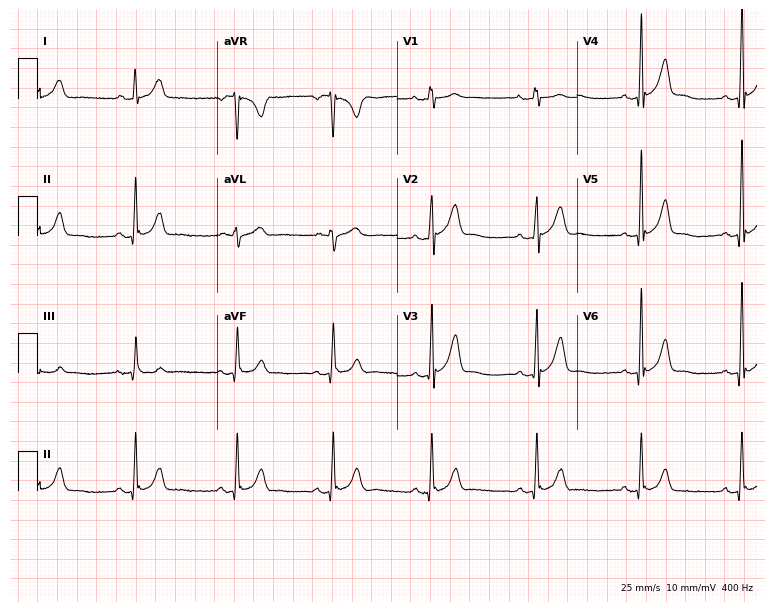
ECG (7.3-second recording at 400 Hz) — a 27-year-old male patient. Labelled as a normal ECG.